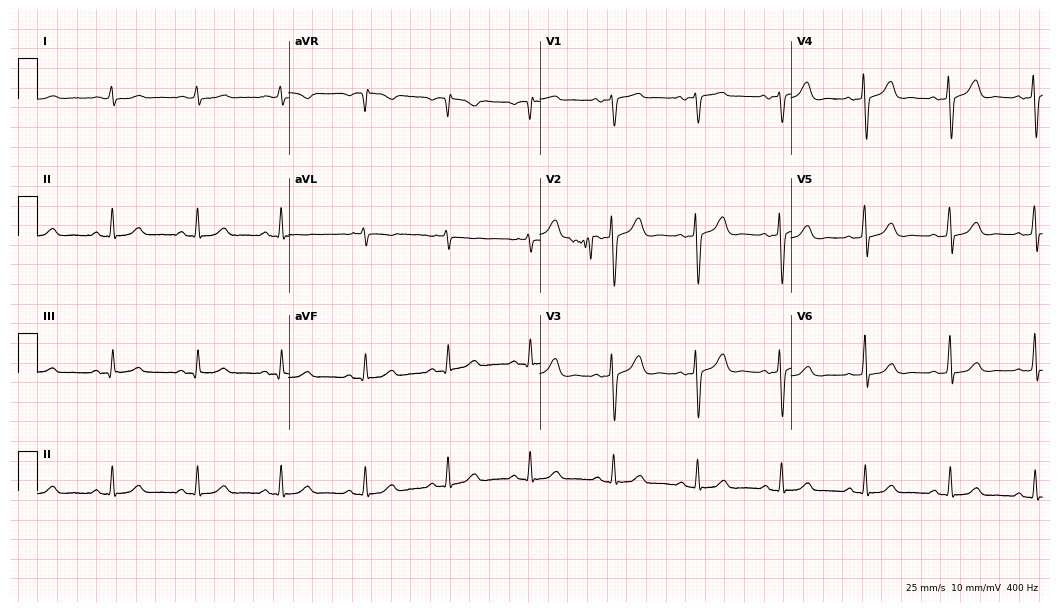
12-lead ECG from a 49-year-old man. Screened for six findings — first-degree AV block, right bundle branch block, left bundle branch block, sinus bradycardia, atrial fibrillation, sinus tachycardia — none is recorded. Other findings, if any, are not listed.